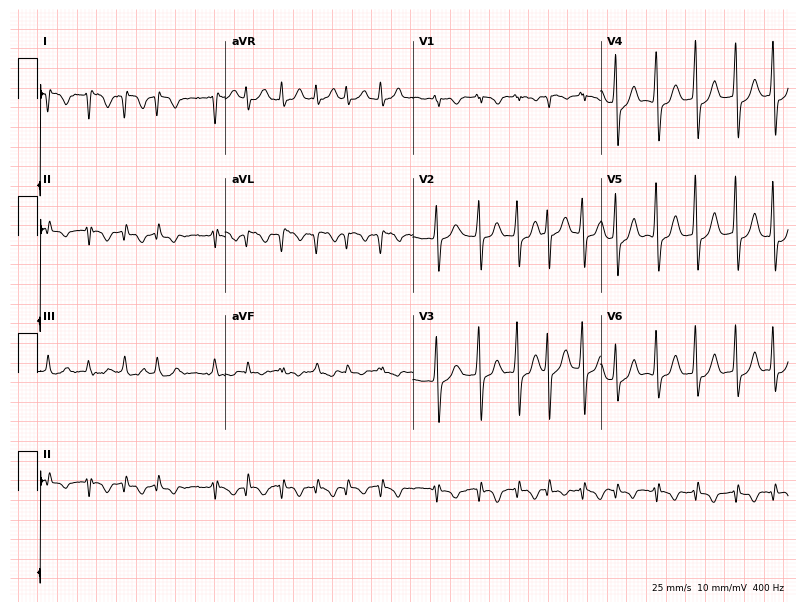
Electrocardiogram (7.7-second recording at 400 Hz), a female, 68 years old. Of the six screened findings (first-degree AV block, right bundle branch block (RBBB), left bundle branch block (LBBB), sinus bradycardia, atrial fibrillation (AF), sinus tachycardia), none is recorded. Findings outside these six are not listed.